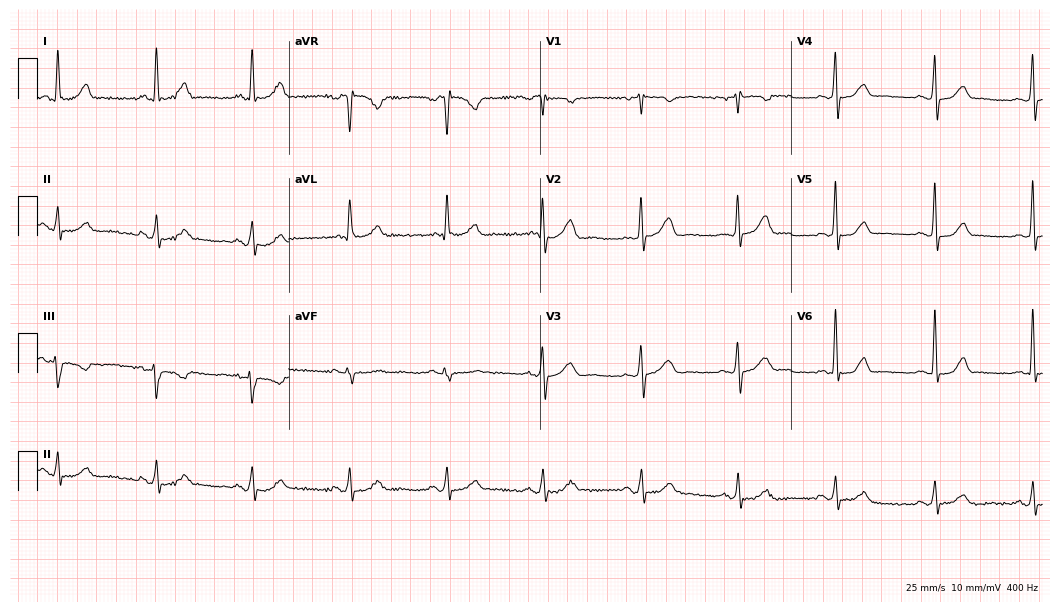
Standard 12-lead ECG recorded from a 70-year-old female patient. None of these six findings is recorded: first-degree AV block, right bundle branch block (RBBB), left bundle branch block (LBBB), sinus bradycardia, atrial fibrillation (AF), sinus tachycardia. Findings outside these six are not listed.